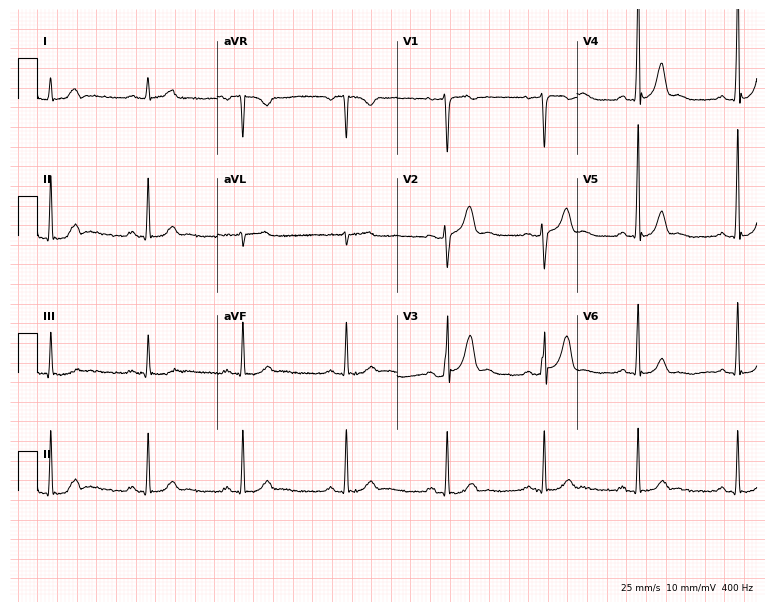
Electrocardiogram, a man, 40 years old. Of the six screened findings (first-degree AV block, right bundle branch block (RBBB), left bundle branch block (LBBB), sinus bradycardia, atrial fibrillation (AF), sinus tachycardia), none is recorded. Other findings, if any, are not listed.